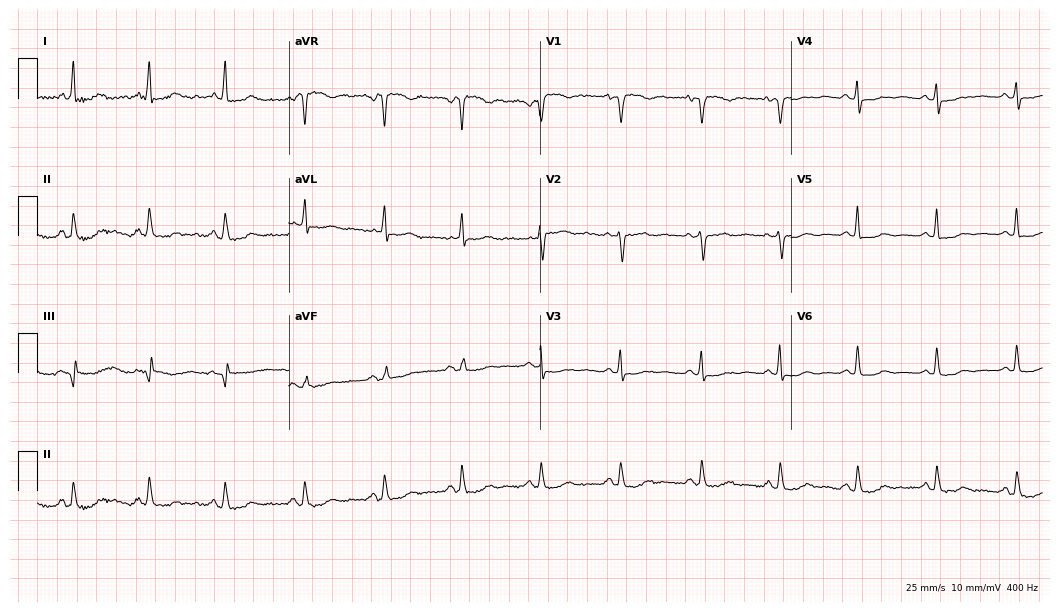
12-lead ECG from a female, 69 years old. Screened for six findings — first-degree AV block, right bundle branch block, left bundle branch block, sinus bradycardia, atrial fibrillation, sinus tachycardia — none is recorded. Findings outside these six are not listed.